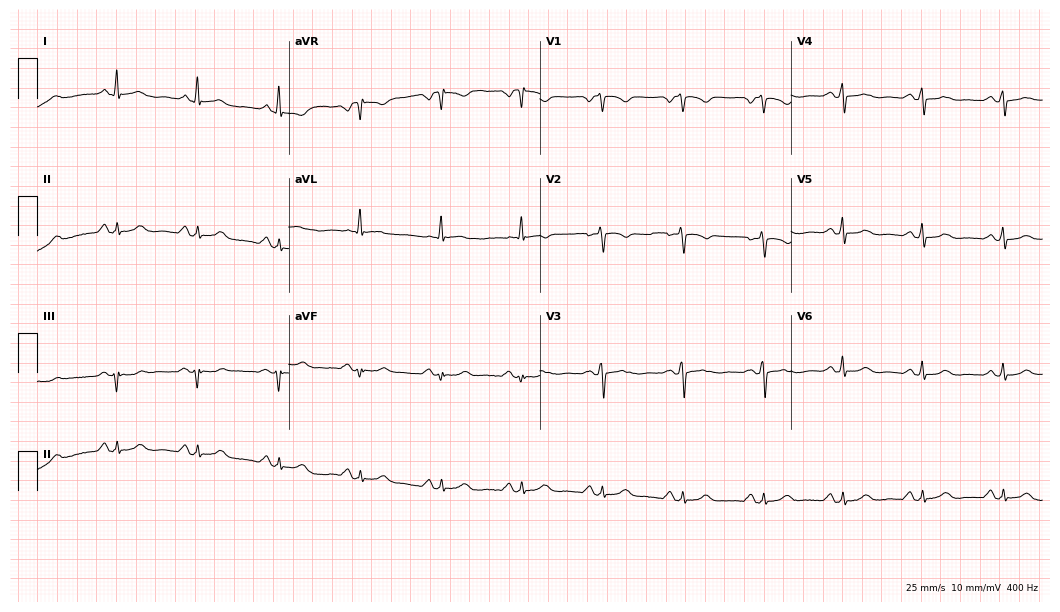
Standard 12-lead ECG recorded from a 60-year-old female. None of these six findings is recorded: first-degree AV block, right bundle branch block, left bundle branch block, sinus bradycardia, atrial fibrillation, sinus tachycardia.